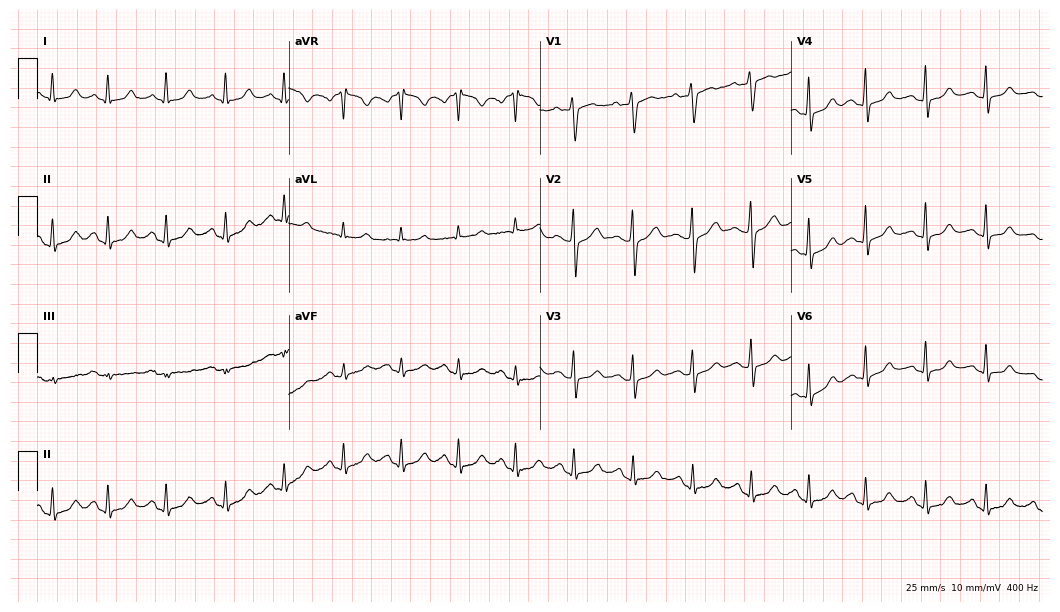
ECG (10.2-second recording at 400 Hz) — a 48-year-old woman. Labelled as a normal ECG.